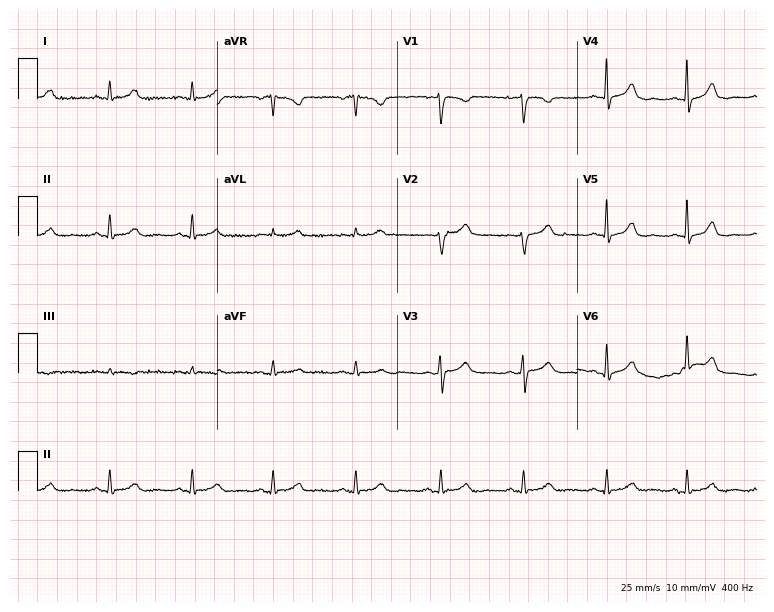
ECG — a woman, 40 years old. Labelled as a normal ECG.